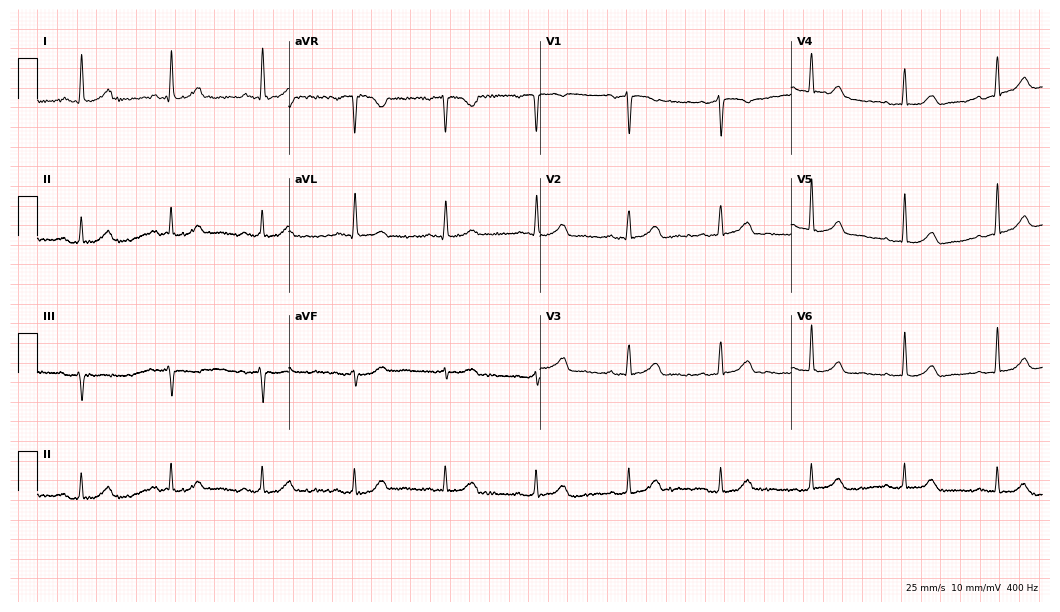
Resting 12-lead electrocardiogram. Patient: a woman, 55 years old. Read as a normal ECG.